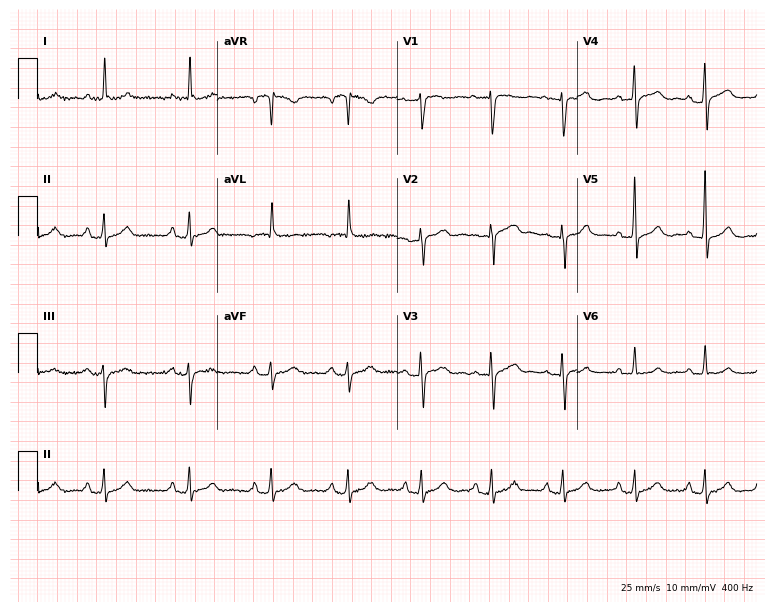
ECG — a female patient, 67 years old. Screened for six findings — first-degree AV block, right bundle branch block (RBBB), left bundle branch block (LBBB), sinus bradycardia, atrial fibrillation (AF), sinus tachycardia — none is recorded.